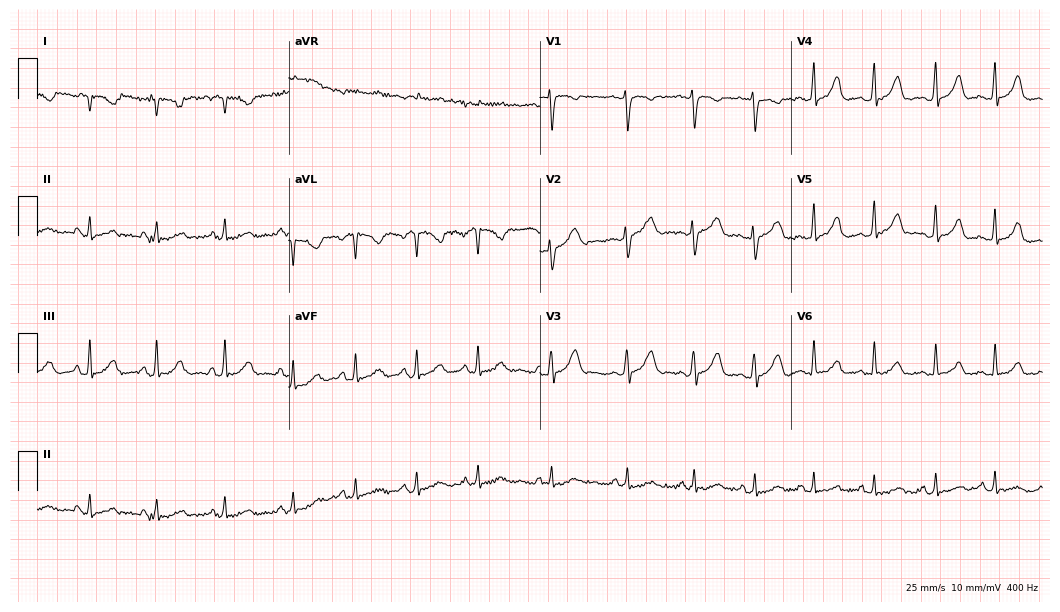
Standard 12-lead ECG recorded from a 26-year-old female patient. None of these six findings is recorded: first-degree AV block, right bundle branch block, left bundle branch block, sinus bradycardia, atrial fibrillation, sinus tachycardia. Other findings, if any, are not listed.